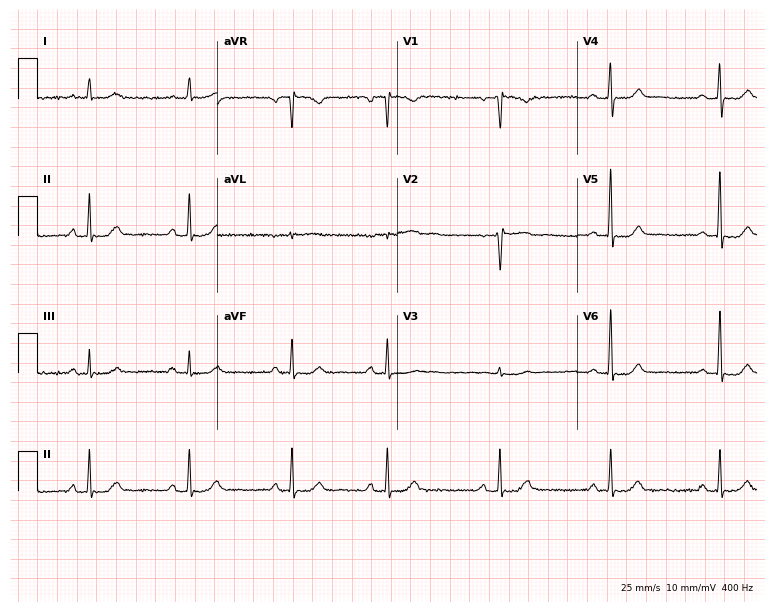
12-lead ECG (7.3-second recording at 400 Hz) from a 59-year-old woman. Screened for six findings — first-degree AV block, right bundle branch block, left bundle branch block, sinus bradycardia, atrial fibrillation, sinus tachycardia — none is recorded.